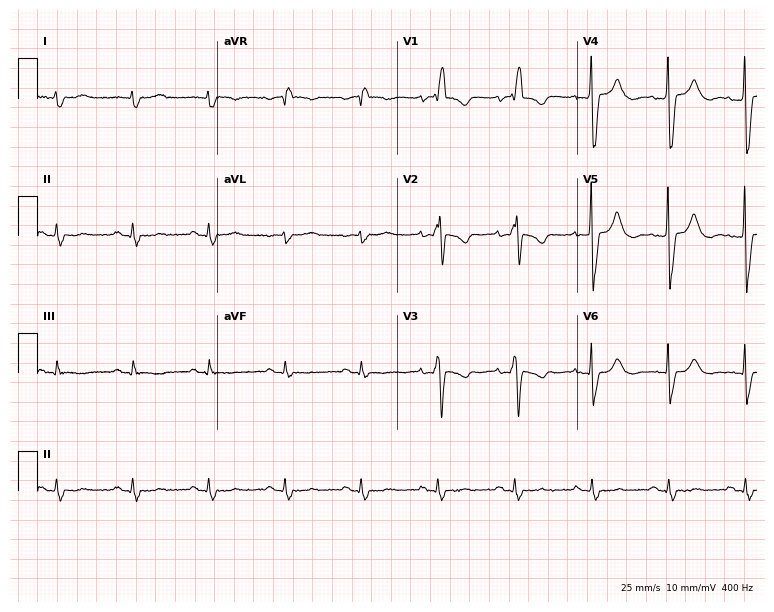
12-lead ECG (7.3-second recording at 400 Hz) from a 76-year-old male. Findings include right bundle branch block.